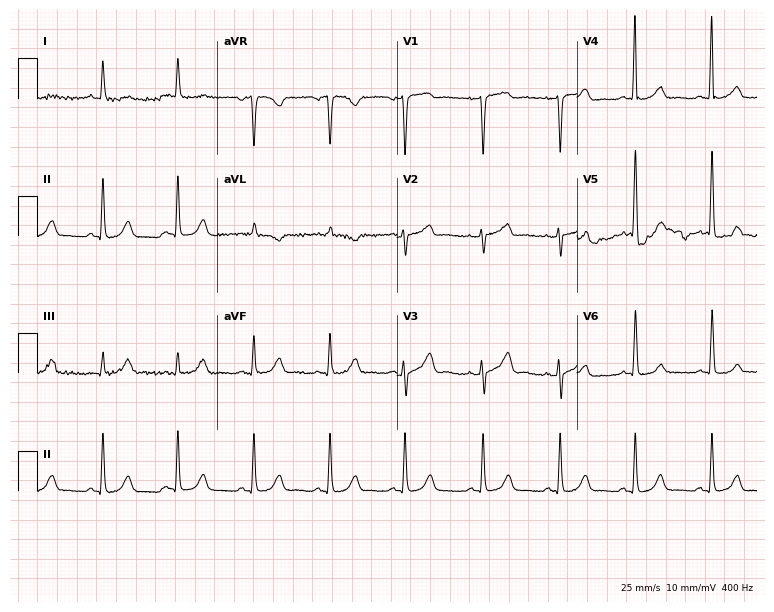
Standard 12-lead ECG recorded from an 85-year-old female (7.3-second recording at 400 Hz). Read as a normal ECG.